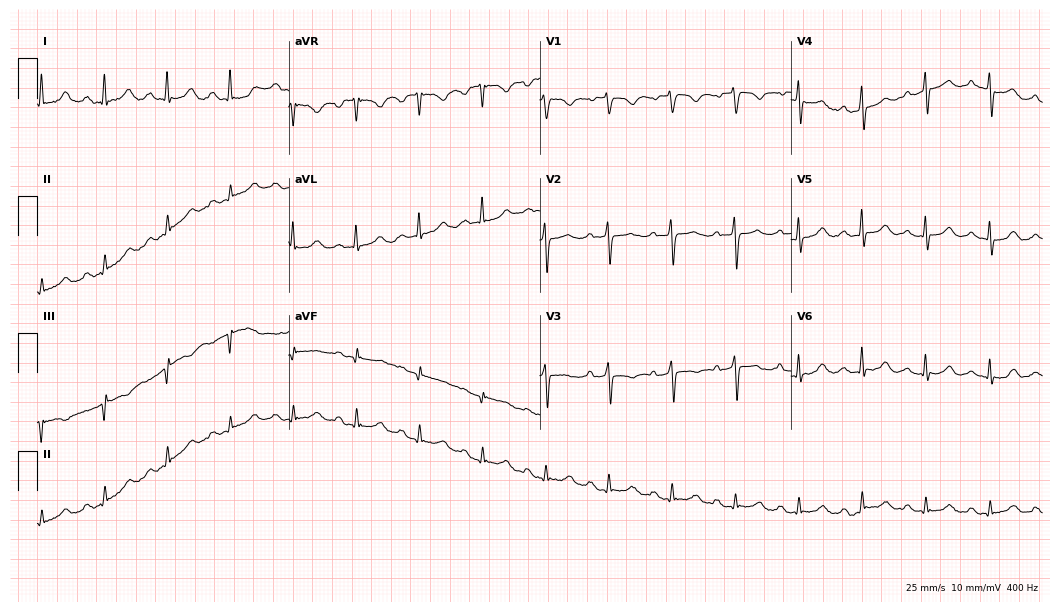
Standard 12-lead ECG recorded from a female, 77 years old. Read as a normal ECG.